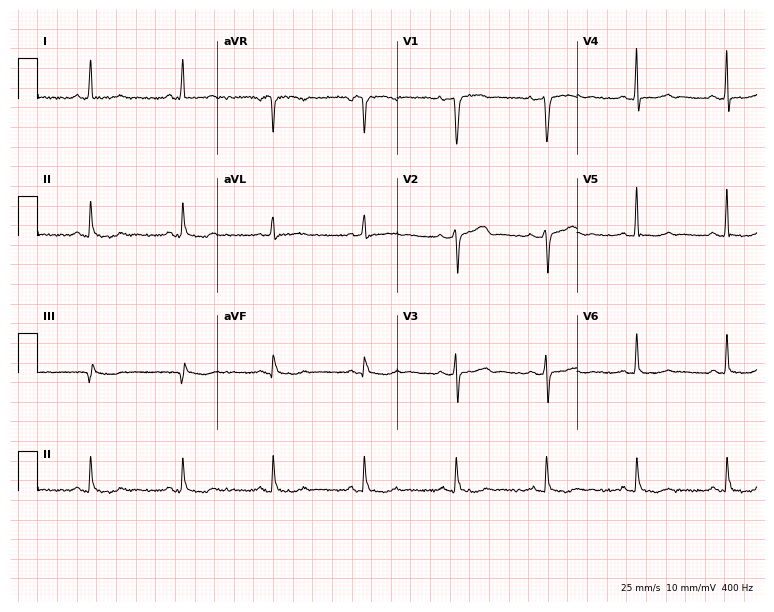
Electrocardiogram (7.3-second recording at 400 Hz), a 67-year-old female patient. Overall reading on record: normal ECG.